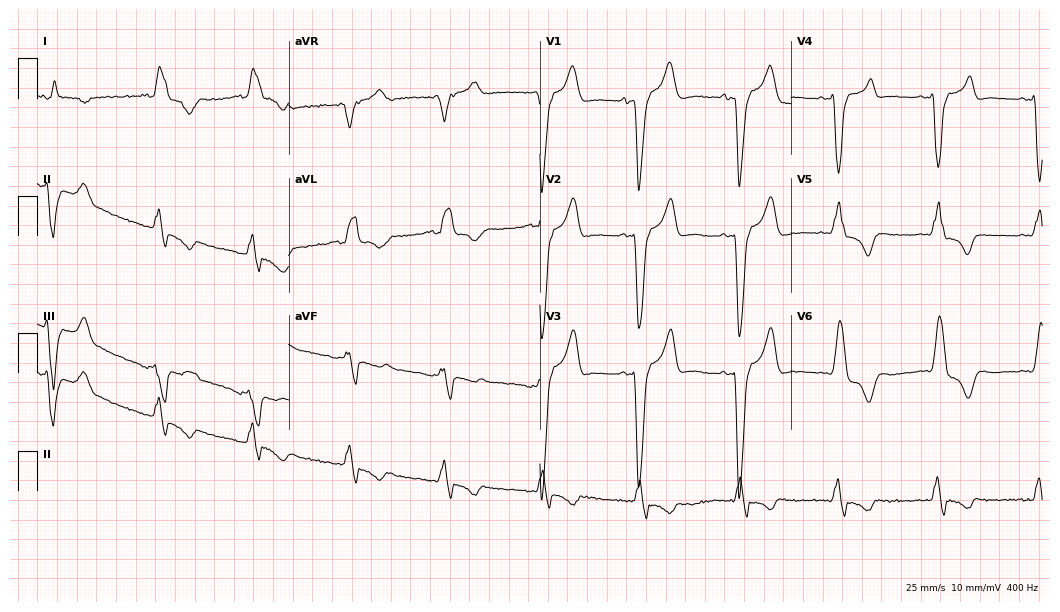
Electrocardiogram, a 76-year-old man. Interpretation includes left bundle branch block.